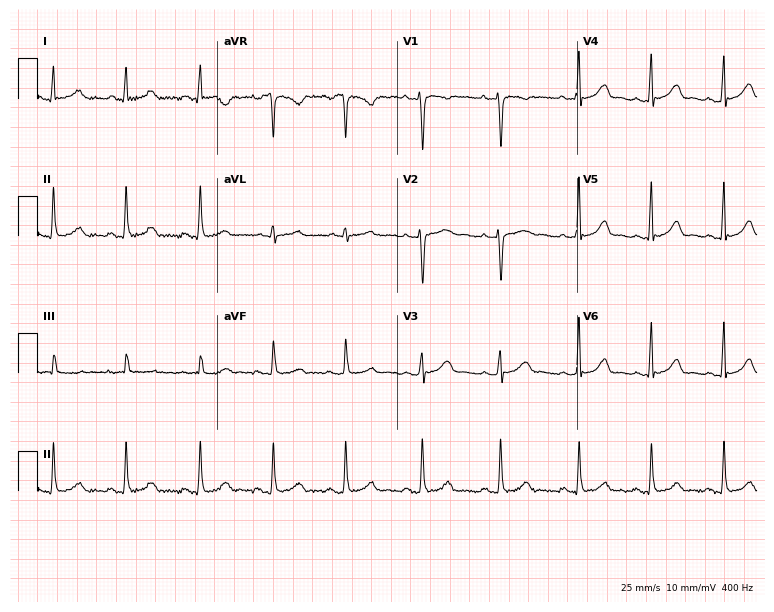
ECG (7.3-second recording at 400 Hz) — a 33-year-old female. Screened for six findings — first-degree AV block, right bundle branch block (RBBB), left bundle branch block (LBBB), sinus bradycardia, atrial fibrillation (AF), sinus tachycardia — none is recorded.